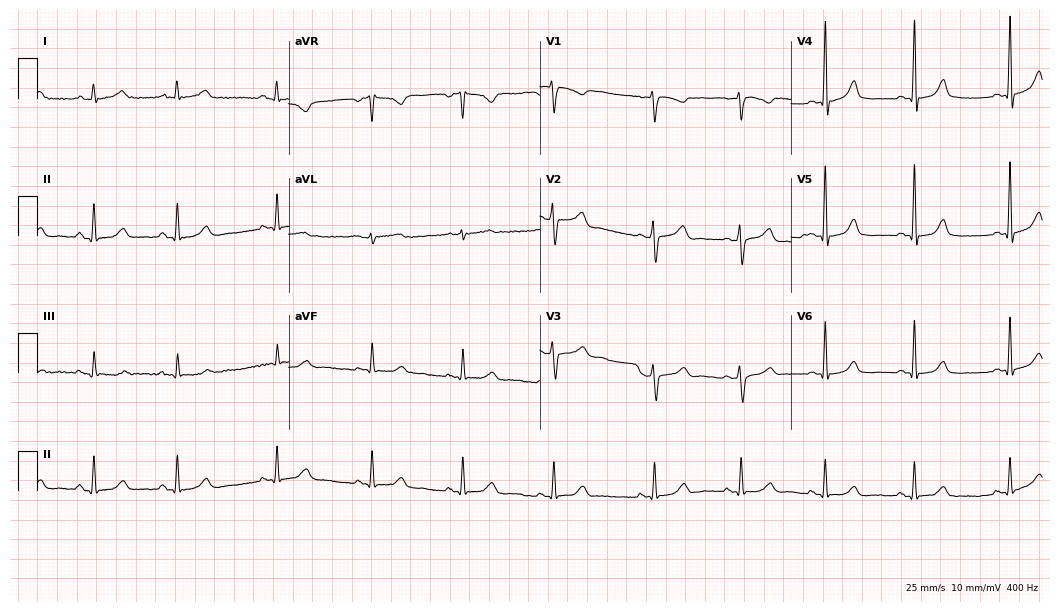
ECG — a woman, 34 years old. Labelled as a normal ECG.